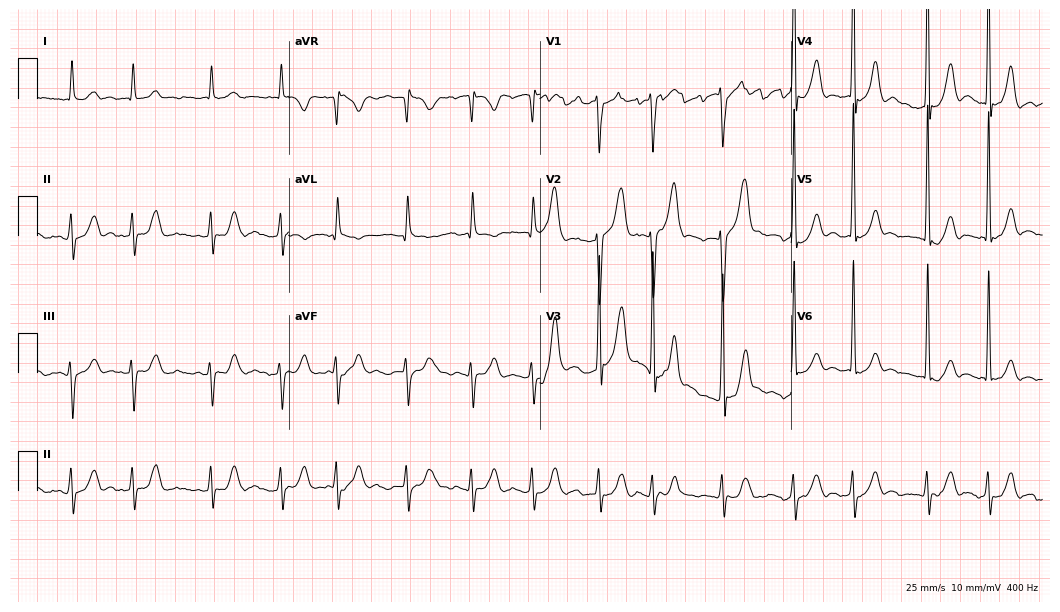
Electrocardiogram, an 82-year-old man. Of the six screened findings (first-degree AV block, right bundle branch block (RBBB), left bundle branch block (LBBB), sinus bradycardia, atrial fibrillation (AF), sinus tachycardia), none is recorded.